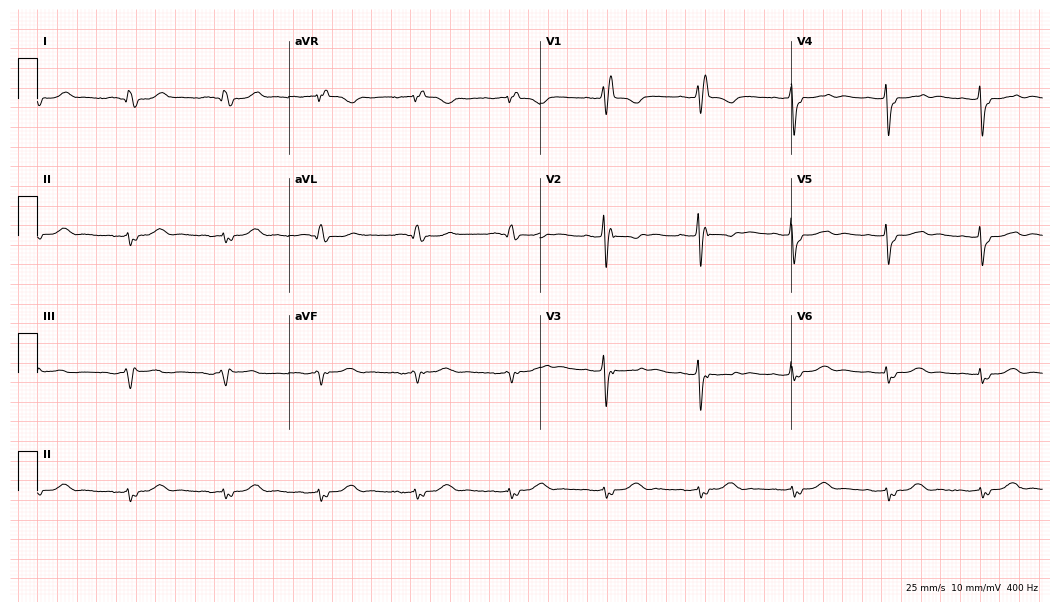
Standard 12-lead ECG recorded from a female patient, 78 years old. The tracing shows right bundle branch block.